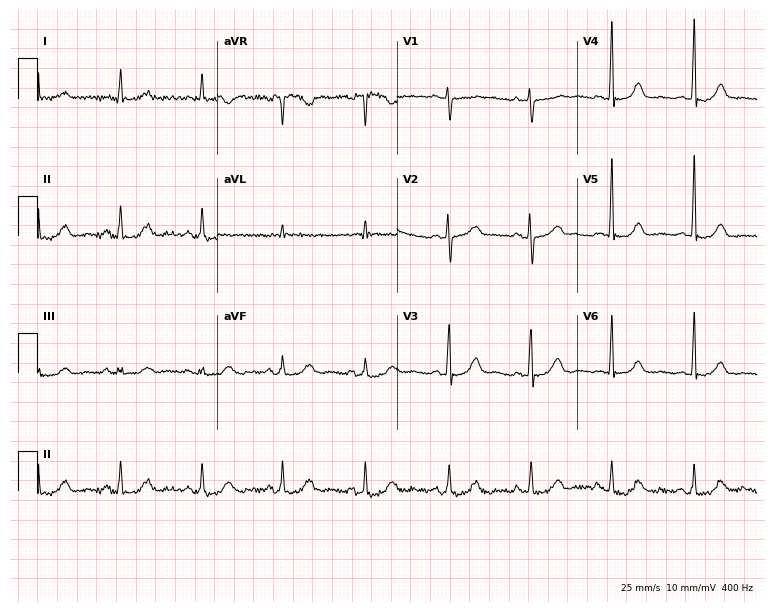
ECG — a woman, 58 years old. Screened for six findings — first-degree AV block, right bundle branch block (RBBB), left bundle branch block (LBBB), sinus bradycardia, atrial fibrillation (AF), sinus tachycardia — none is recorded.